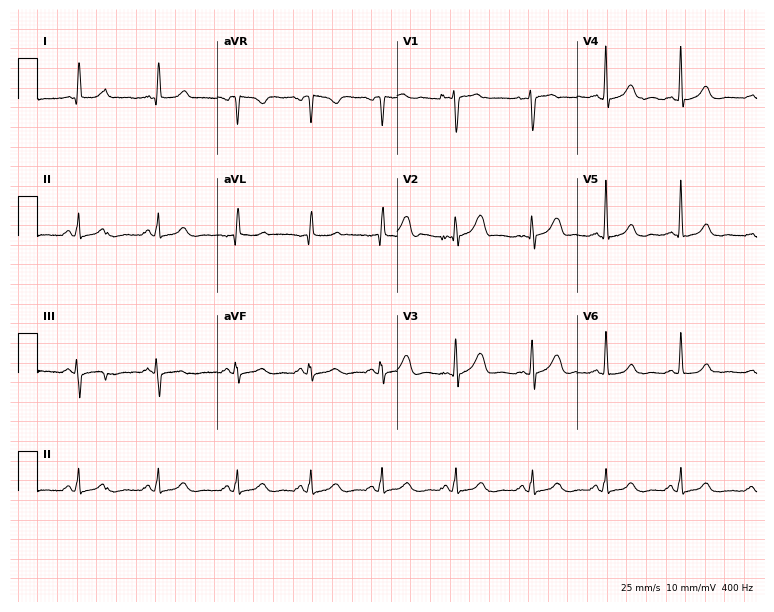
Electrocardiogram, a 47-year-old female. Overall reading on record: normal ECG.